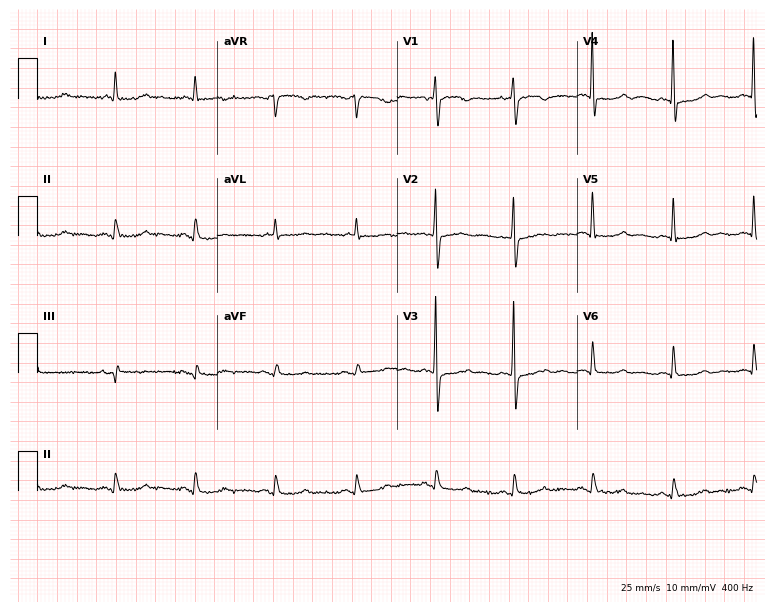
12-lead ECG from a 79-year-old female (7.3-second recording at 400 Hz). No first-degree AV block, right bundle branch block, left bundle branch block, sinus bradycardia, atrial fibrillation or sinus tachycardia recorded for this tracing.